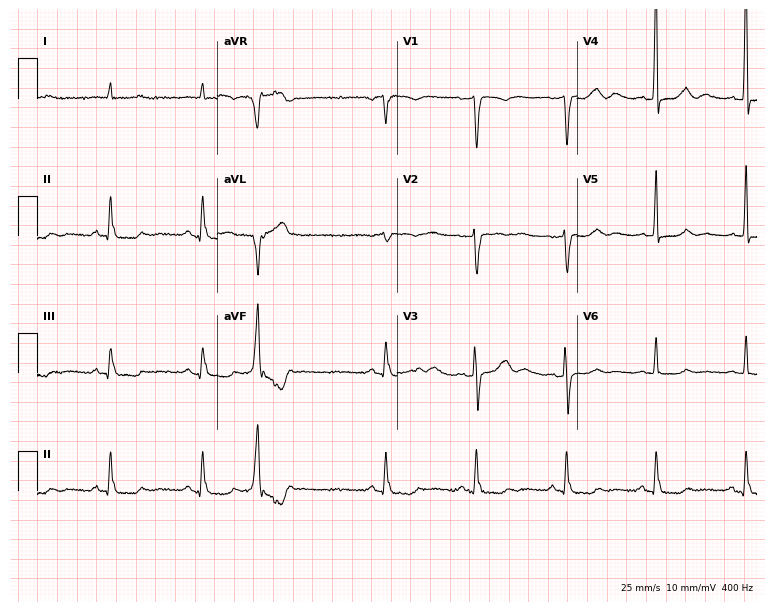
Standard 12-lead ECG recorded from an 81-year-old male patient (7.3-second recording at 400 Hz). None of these six findings is recorded: first-degree AV block, right bundle branch block, left bundle branch block, sinus bradycardia, atrial fibrillation, sinus tachycardia. Only these six findings were labelled.